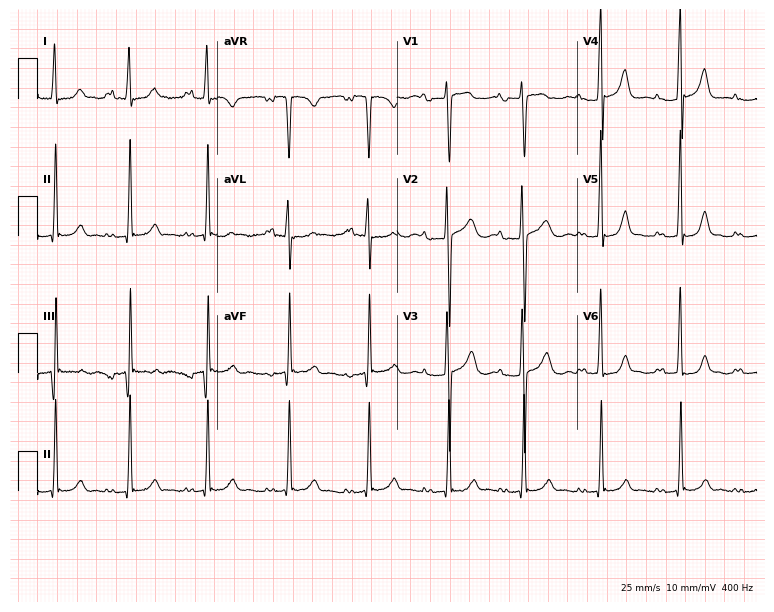
Electrocardiogram (7.3-second recording at 400 Hz), a 23-year-old female patient. Interpretation includes first-degree AV block.